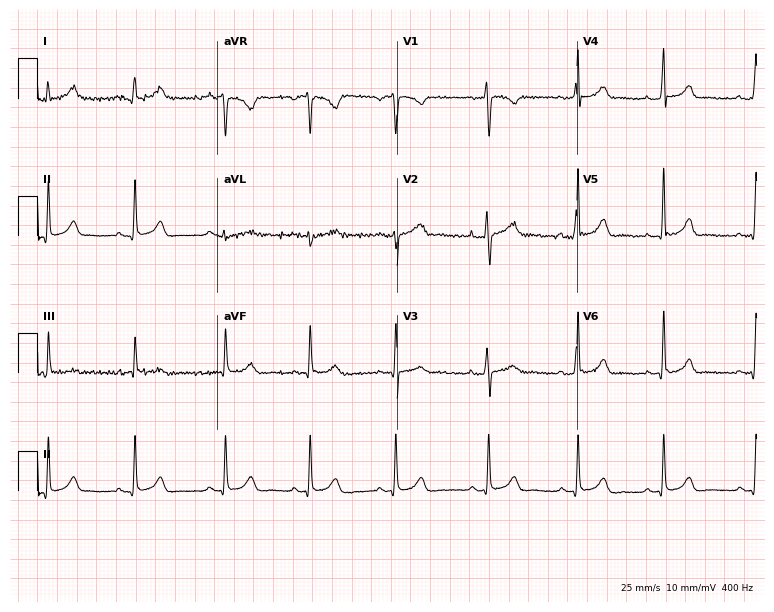
12-lead ECG (7.3-second recording at 400 Hz) from a 19-year-old female. Labelled as a normal ECG.